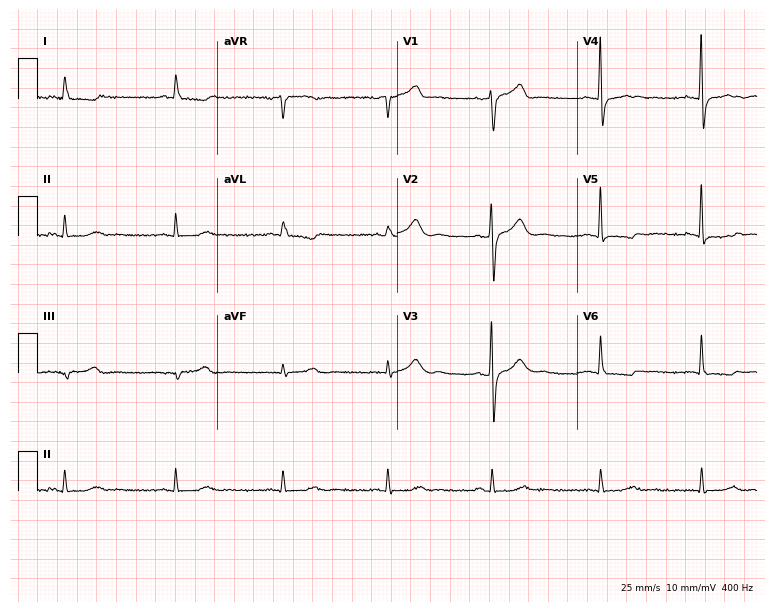
Resting 12-lead electrocardiogram (7.3-second recording at 400 Hz). Patient: a male, 75 years old. None of these six findings is recorded: first-degree AV block, right bundle branch block (RBBB), left bundle branch block (LBBB), sinus bradycardia, atrial fibrillation (AF), sinus tachycardia.